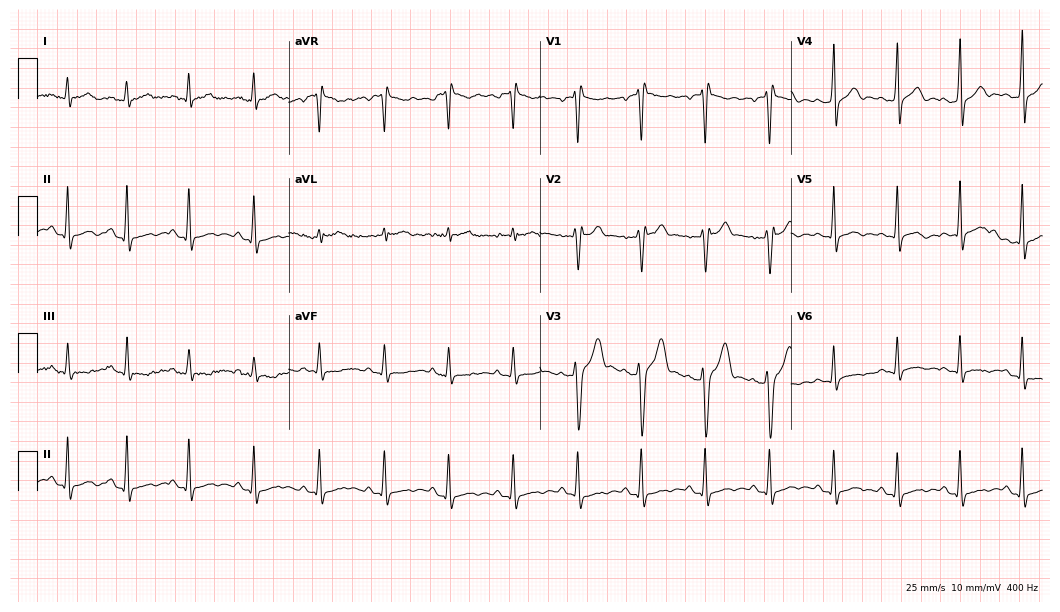
12-lead ECG (10.2-second recording at 400 Hz) from a 30-year-old man. Screened for six findings — first-degree AV block, right bundle branch block (RBBB), left bundle branch block (LBBB), sinus bradycardia, atrial fibrillation (AF), sinus tachycardia — none is recorded. Other findings, if any, are not listed.